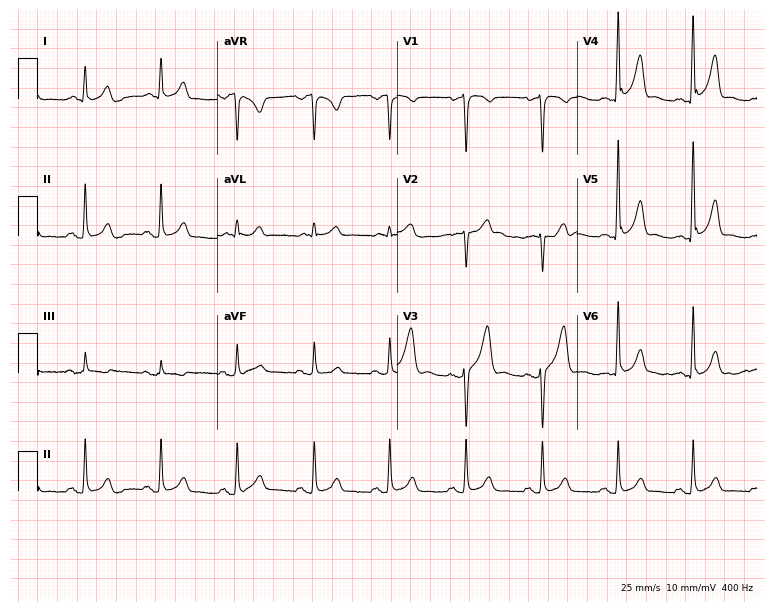
12-lead ECG from a male, 72 years old (7.3-second recording at 400 Hz). Recorded interpretation: within normal limits.